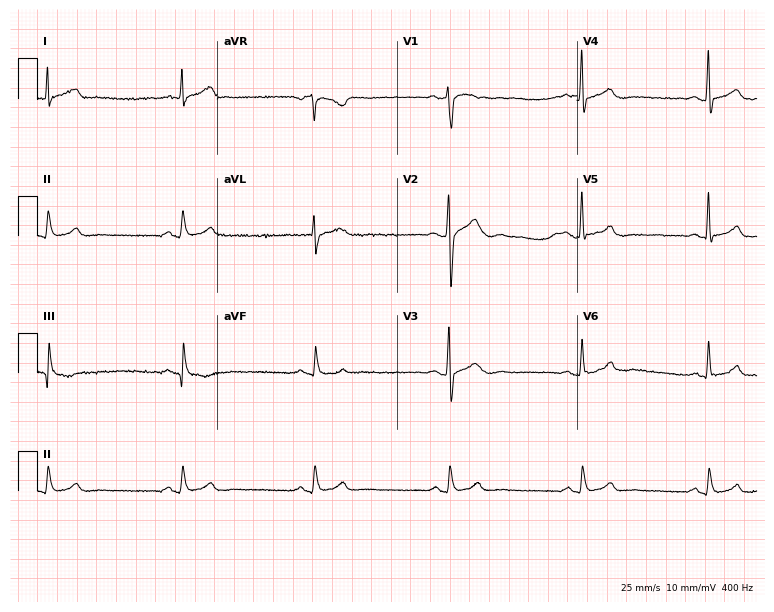
Standard 12-lead ECG recorded from a man, 40 years old (7.3-second recording at 400 Hz). The tracing shows sinus bradycardia (a sinus rate of 50 beats per minute or less).